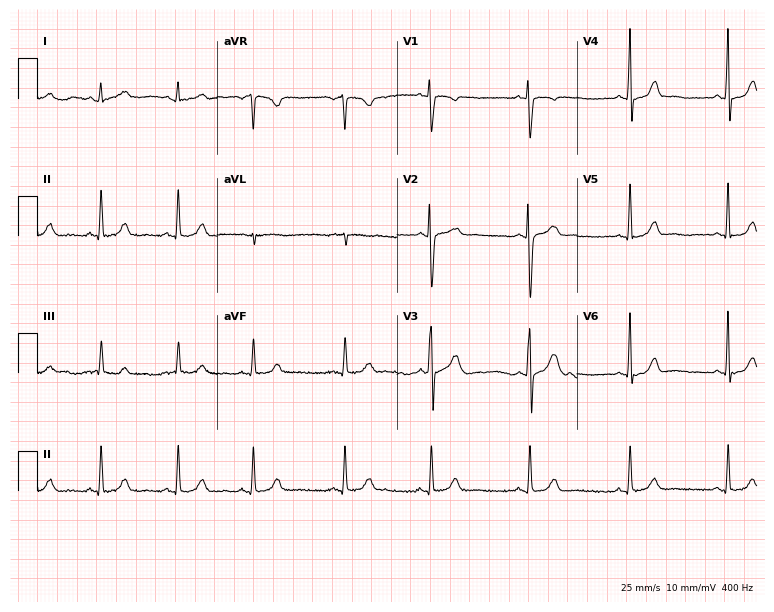
12-lead ECG (7.3-second recording at 400 Hz) from a woman, 27 years old. Labelled as a normal ECG.